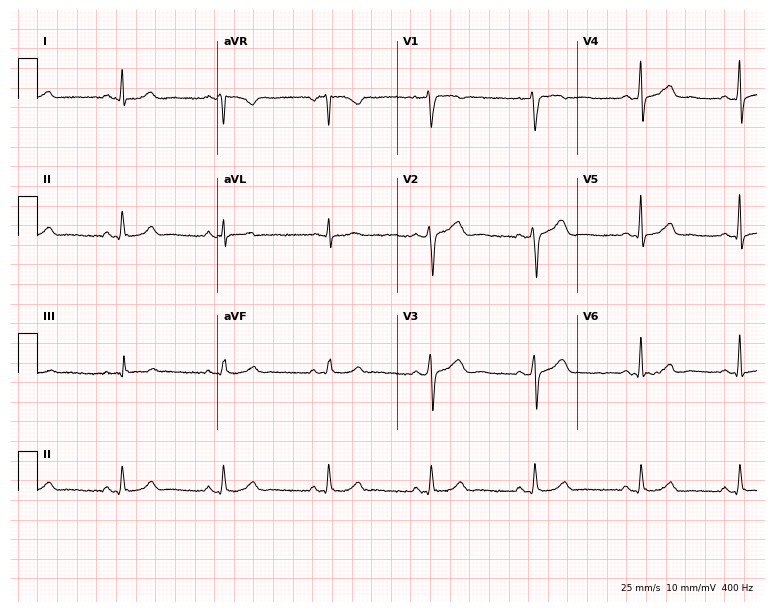
Resting 12-lead electrocardiogram (7.3-second recording at 400 Hz). Patient: a 41-year-old man. Read as a normal ECG.